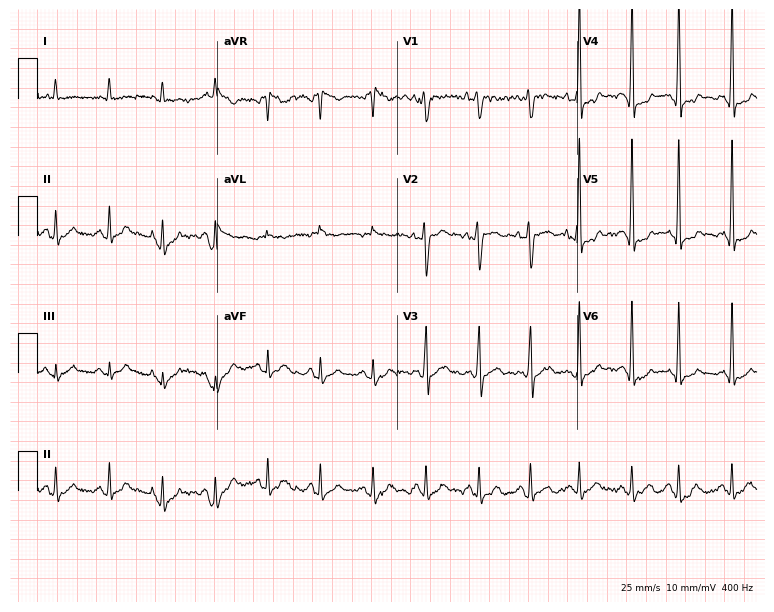
12-lead ECG from a man, 69 years old (7.3-second recording at 400 Hz). Shows sinus tachycardia (a sinus rate of 100 beats per minute or more).